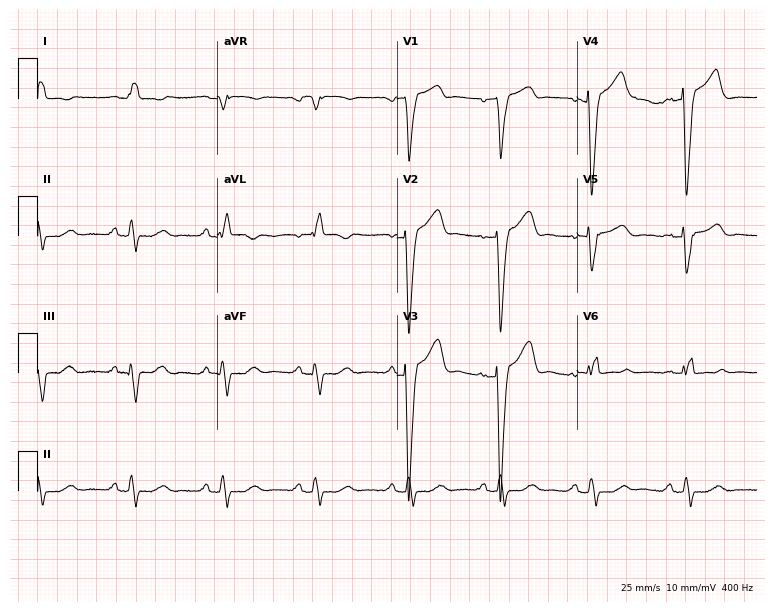
Electrocardiogram, a male, 70 years old. Of the six screened findings (first-degree AV block, right bundle branch block, left bundle branch block, sinus bradycardia, atrial fibrillation, sinus tachycardia), none is recorded.